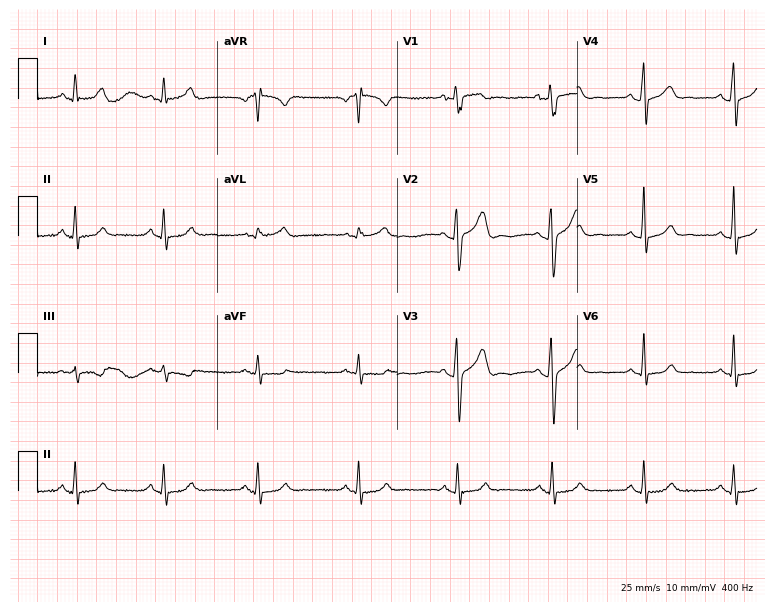
12-lead ECG from a 37-year-old male patient. No first-degree AV block, right bundle branch block (RBBB), left bundle branch block (LBBB), sinus bradycardia, atrial fibrillation (AF) or sinus tachycardia recorded for this tracing. Only these six findings were labelled.